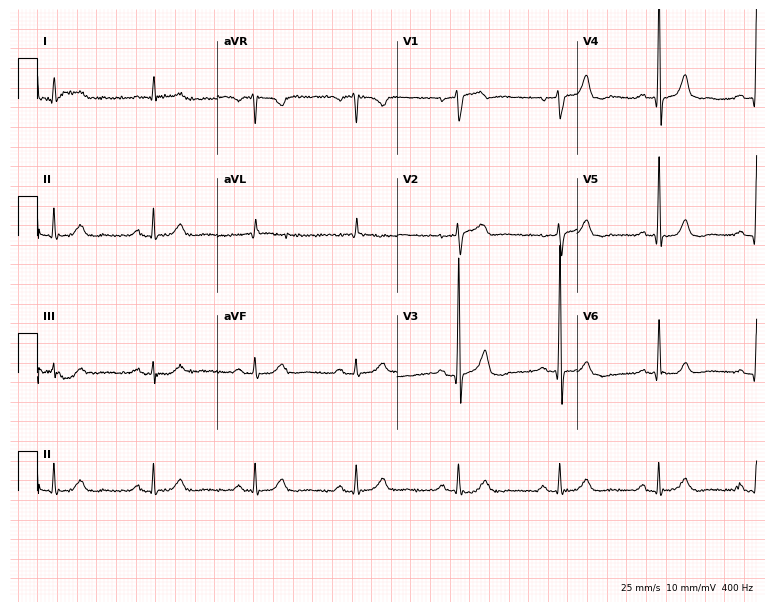
12-lead ECG from a 61-year-old male (7.3-second recording at 400 Hz). Recorded interpretation: within normal limits.